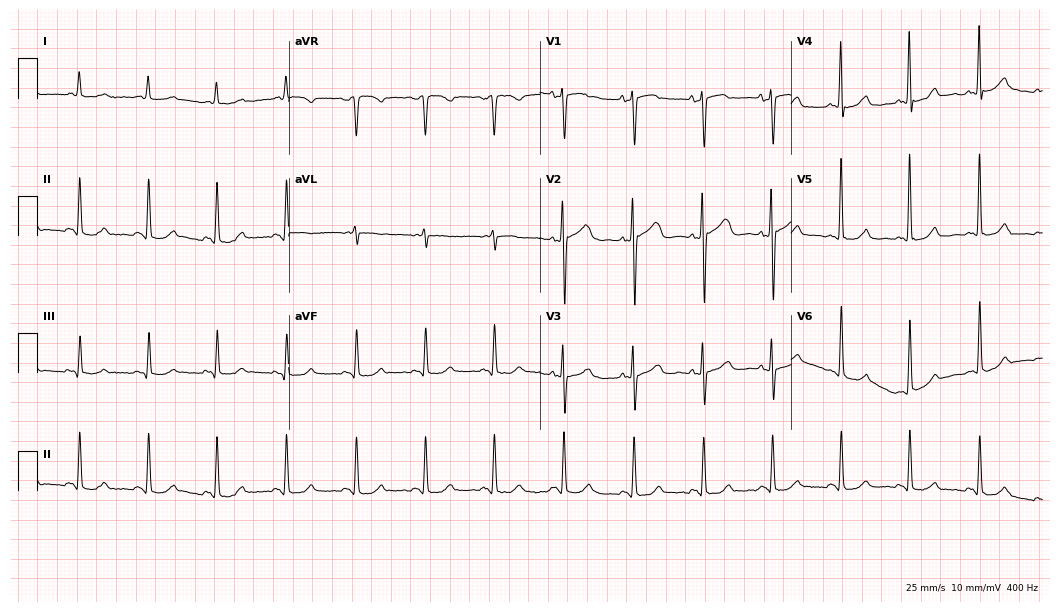
Resting 12-lead electrocardiogram (10.2-second recording at 400 Hz). Patient: a female, 84 years old. None of these six findings is recorded: first-degree AV block, right bundle branch block, left bundle branch block, sinus bradycardia, atrial fibrillation, sinus tachycardia. Other findings, if any, are not listed.